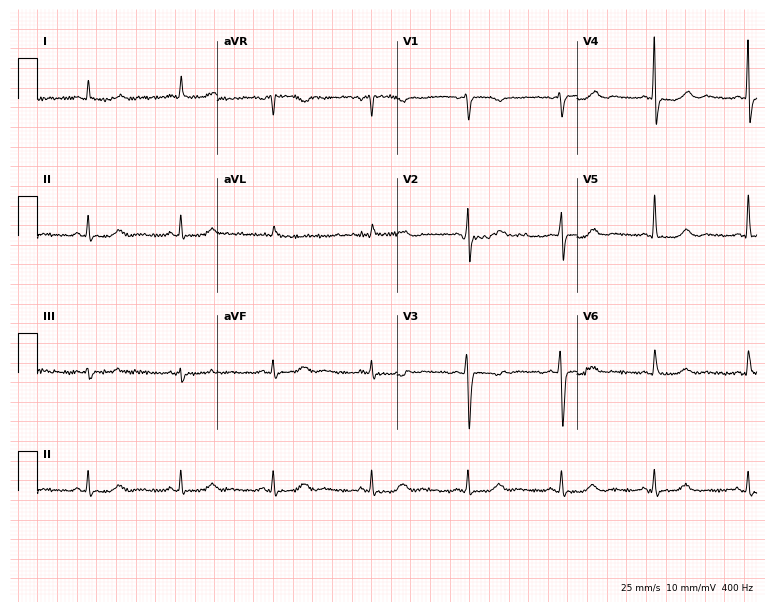
12-lead ECG from a female patient, 61 years old (7.3-second recording at 400 Hz). No first-degree AV block, right bundle branch block (RBBB), left bundle branch block (LBBB), sinus bradycardia, atrial fibrillation (AF) or sinus tachycardia recorded for this tracing.